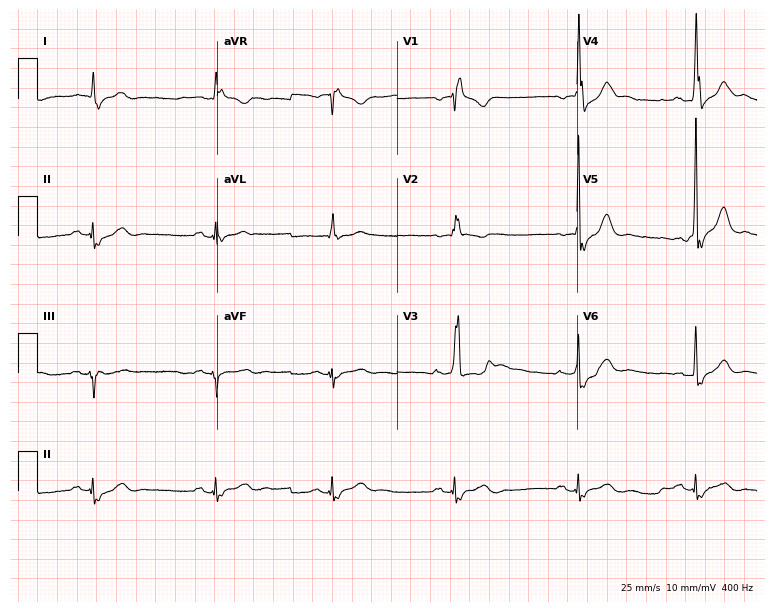
Resting 12-lead electrocardiogram. Patient: a 60-year-old male. The tracing shows right bundle branch block, sinus bradycardia (a sinus rate of 50 beats per minute or less).